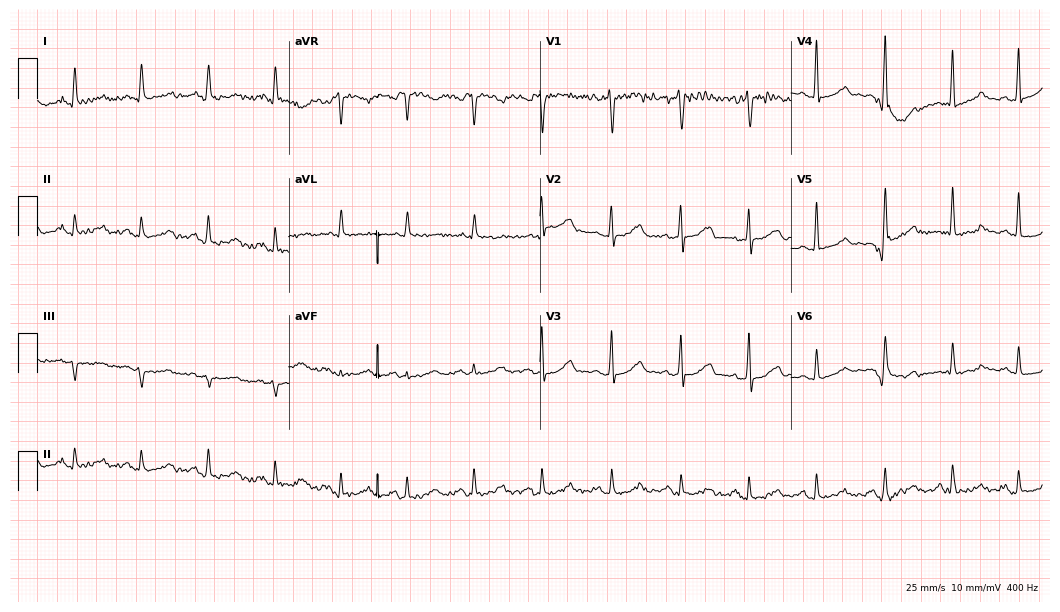
12-lead ECG from a female, 52 years old. No first-degree AV block, right bundle branch block (RBBB), left bundle branch block (LBBB), sinus bradycardia, atrial fibrillation (AF) or sinus tachycardia recorded for this tracing.